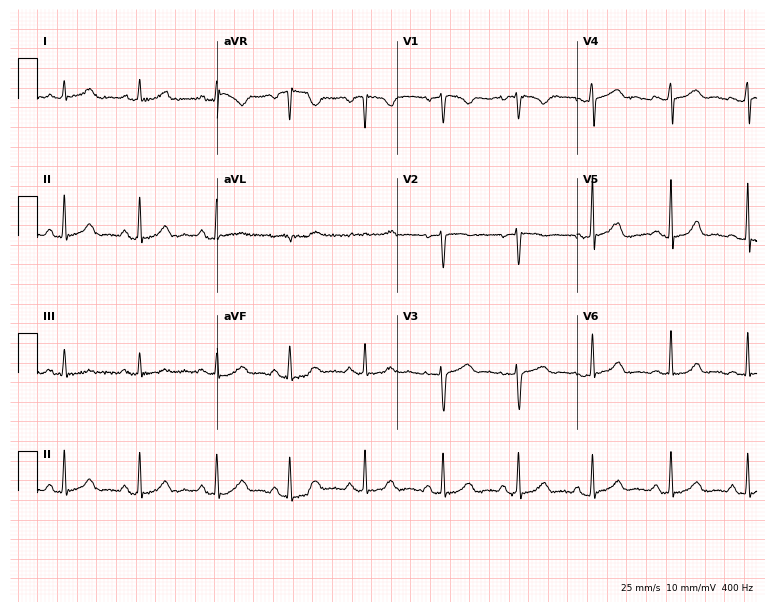
12-lead ECG from a 30-year-old female patient. No first-degree AV block, right bundle branch block (RBBB), left bundle branch block (LBBB), sinus bradycardia, atrial fibrillation (AF) or sinus tachycardia recorded for this tracing. Findings outside these six are not listed.